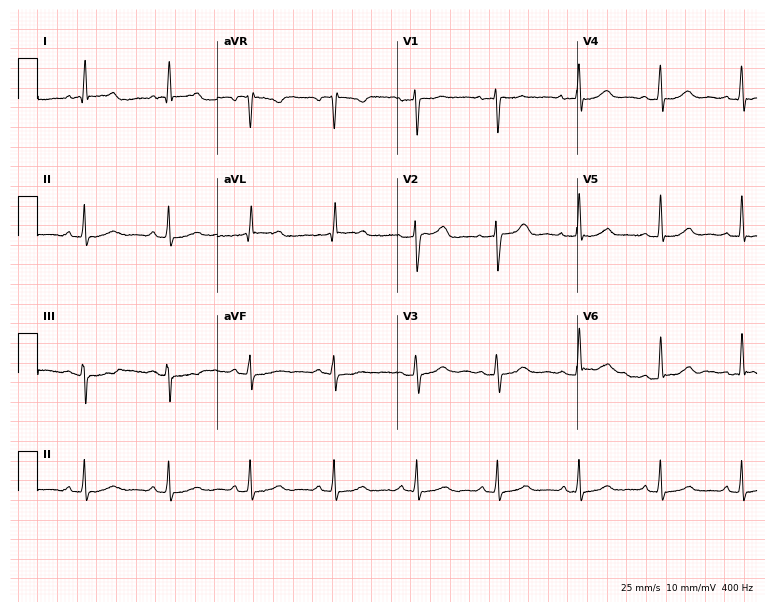
12-lead ECG (7.3-second recording at 400 Hz) from a female, 44 years old. Screened for six findings — first-degree AV block, right bundle branch block, left bundle branch block, sinus bradycardia, atrial fibrillation, sinus tachycardia — none is recorded.